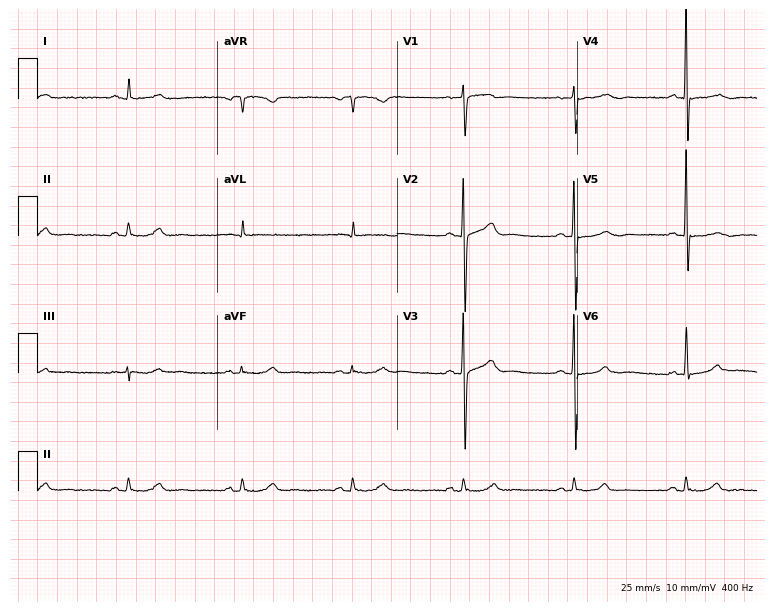
Resting 12-lead electrocardiogram (7.3-second recording at 400 Hz). Patient: a 59-year-old male. Read as a normal ECG.